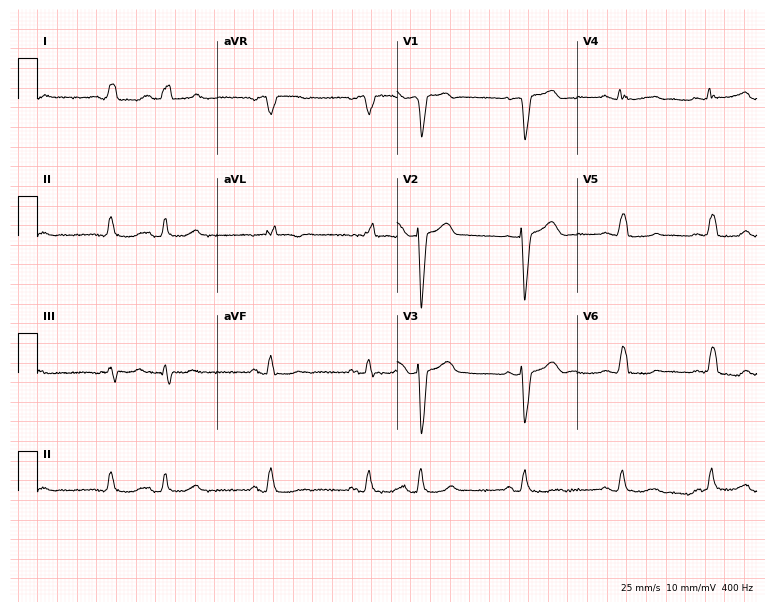
ECG — a woman, 86 years old. Screened for six findings — first-degree AV block, right bundle branch block (RBBB), left bundle branch block (LBBB), sinus bradycardia, atrial fibrillation (AF), sinus tachycardia — none is recorded.